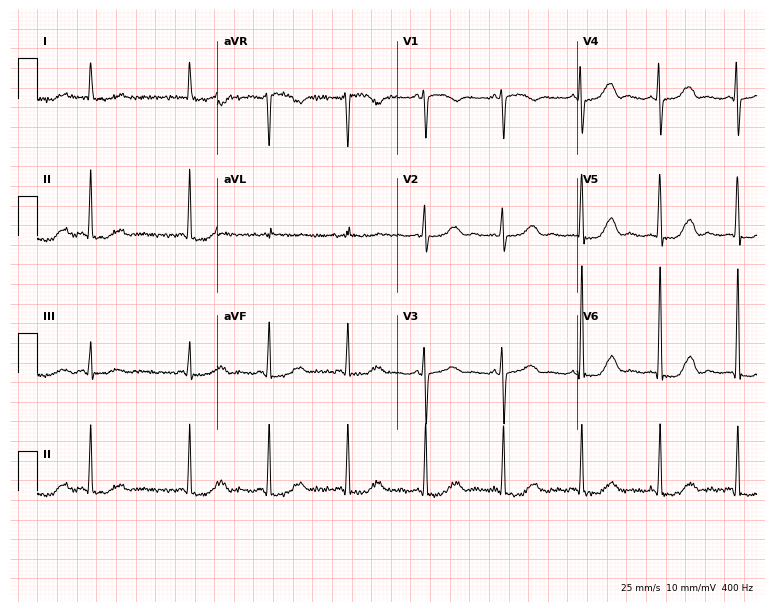
Resting 12-lead electrocardiogram. Patient: an 80-year-old female. None of these six findings is recorded: first-degree AV block, right bundle branch block, left bundle branch block, sinus bradycardia, atrial fibrillation, sinus tachycardia. Other findings, if any, are not listed.